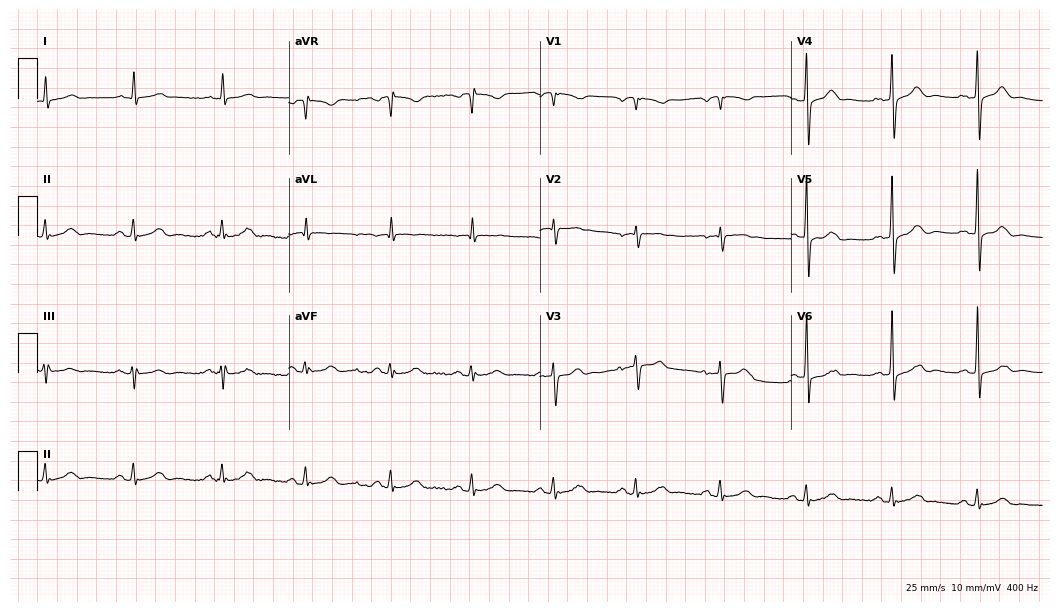
12-lead ECG (10.2-second recording at 400 Hz) from a female, 80 years old. Labelled as a normal ECG.